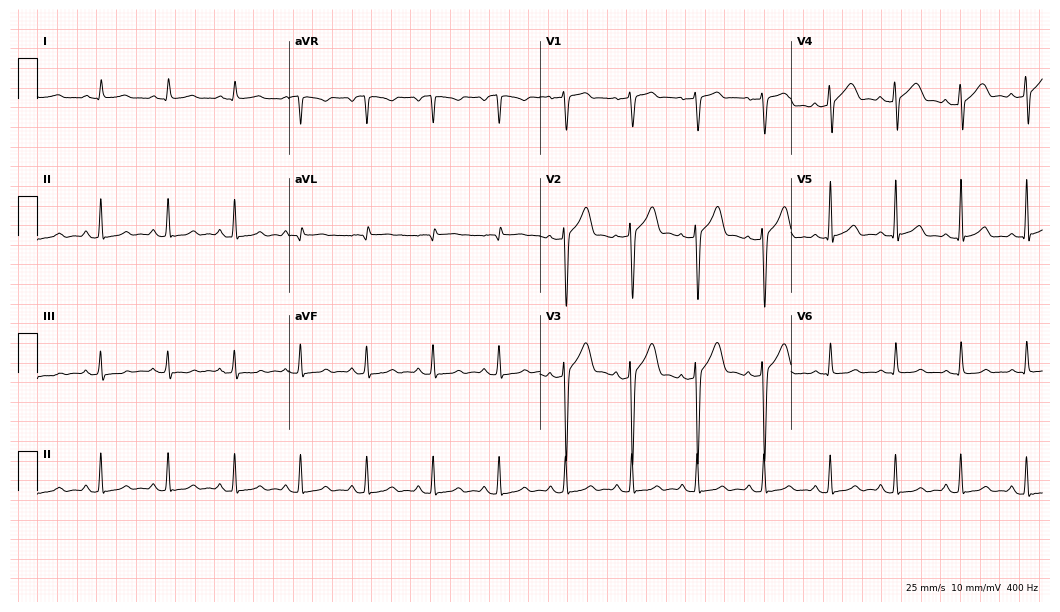
12-lead ECG from a female, 48 years old. Recorded interpretation: within normal limits.